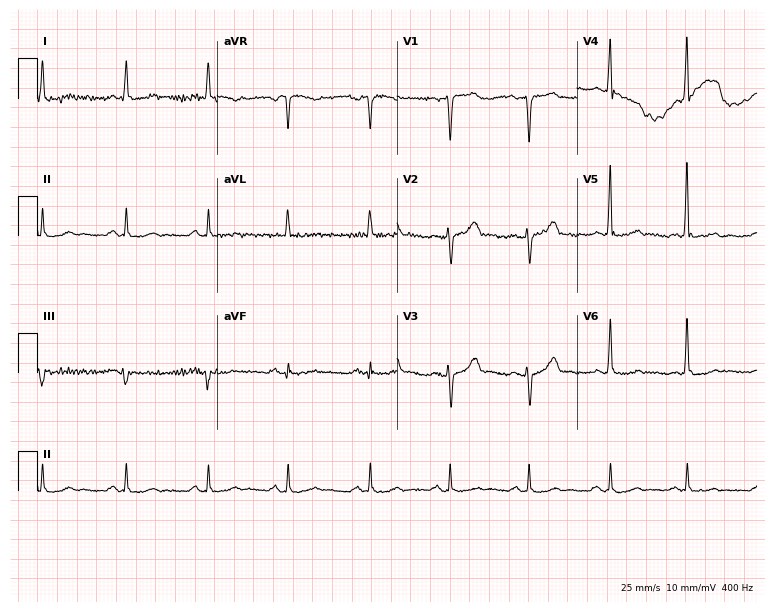
Electrocardiogram (7.3-second recording at 400 Hz), a man, 75 years old. Of the six screened findings (first-degree AV block, right bundle branch block, left bundle branch block, sinus bradycardia, atrial fibrillation, sinus tachycardia), none is recorded. Only these six findings were labelled.